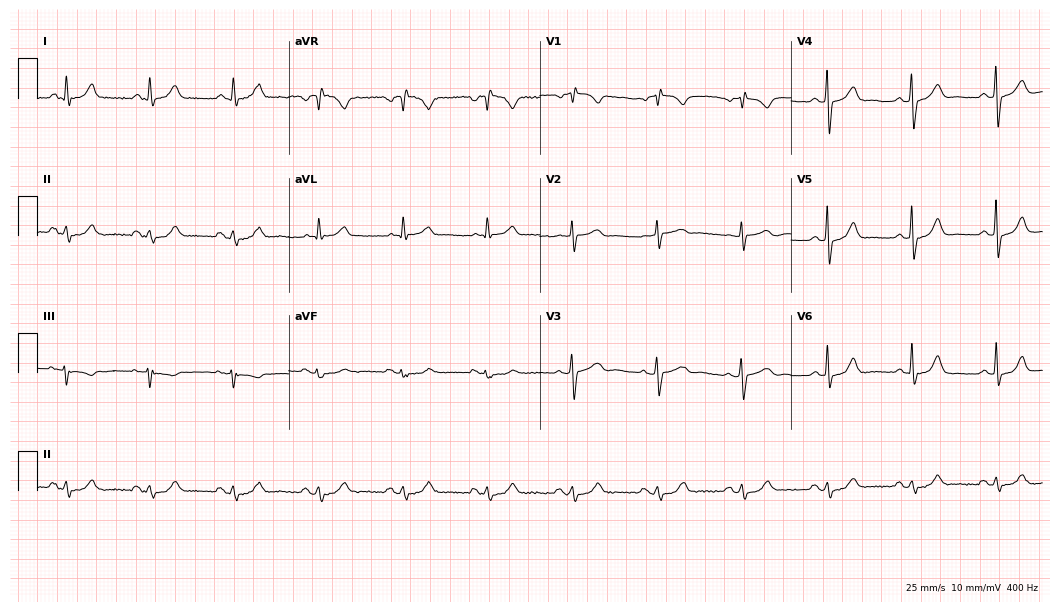
12-lead ECG from a 71-year-old man. Labelled as a normal ECG.